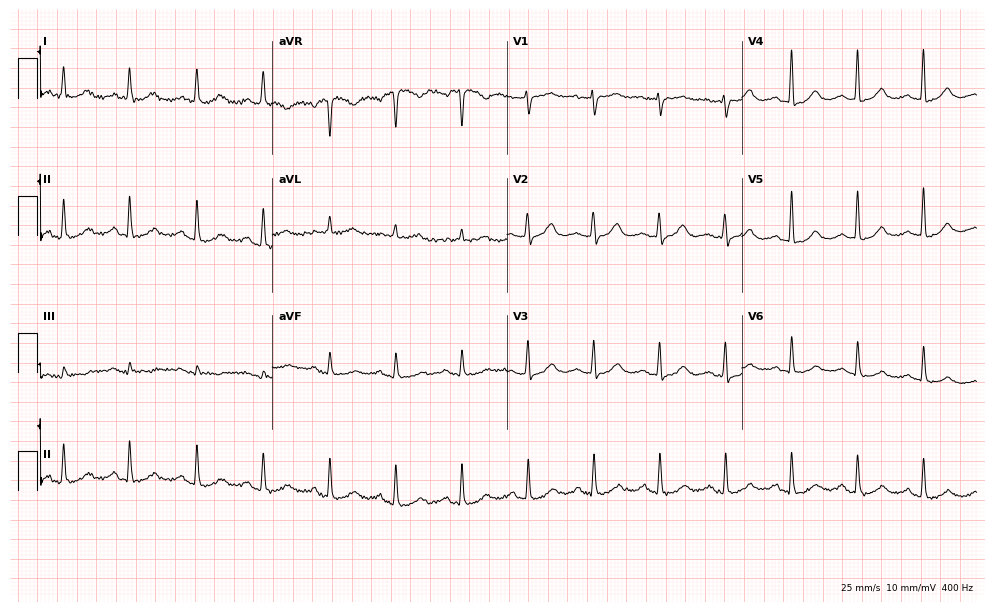
Resting 12-lead electrocardiogram (9.6-second recording at 400 Hz). Patient: a woman, 75 years old. None of these six findings is recorded: first-degree AV block, right bundle branch block, left bundle branch block, sinus bradycardia, atrial fibrillation, sinus tachycardia.